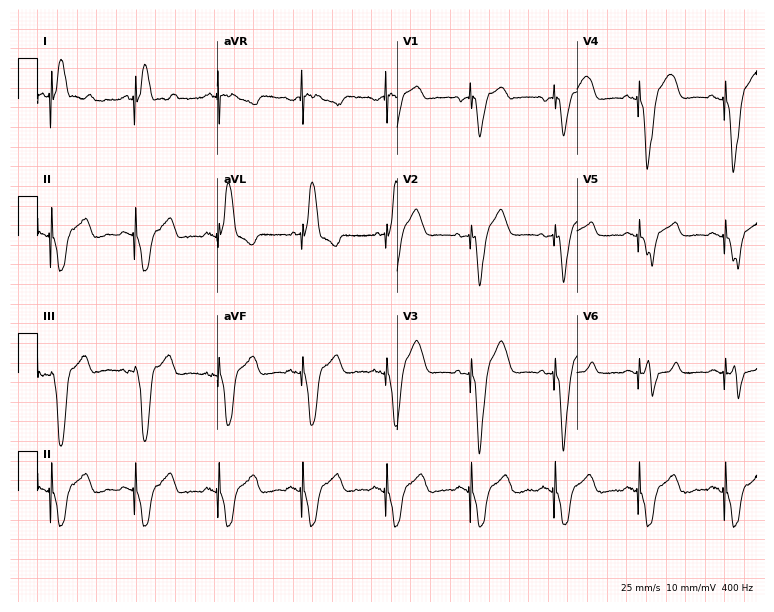
ECG — a 75-year-old male patient. Screened for six findings — first-degree AV block, right bundle branch block, left bundle branch block, sinus bradycardia, atrial fibrillation, sinus tachycardia — none is recorded.